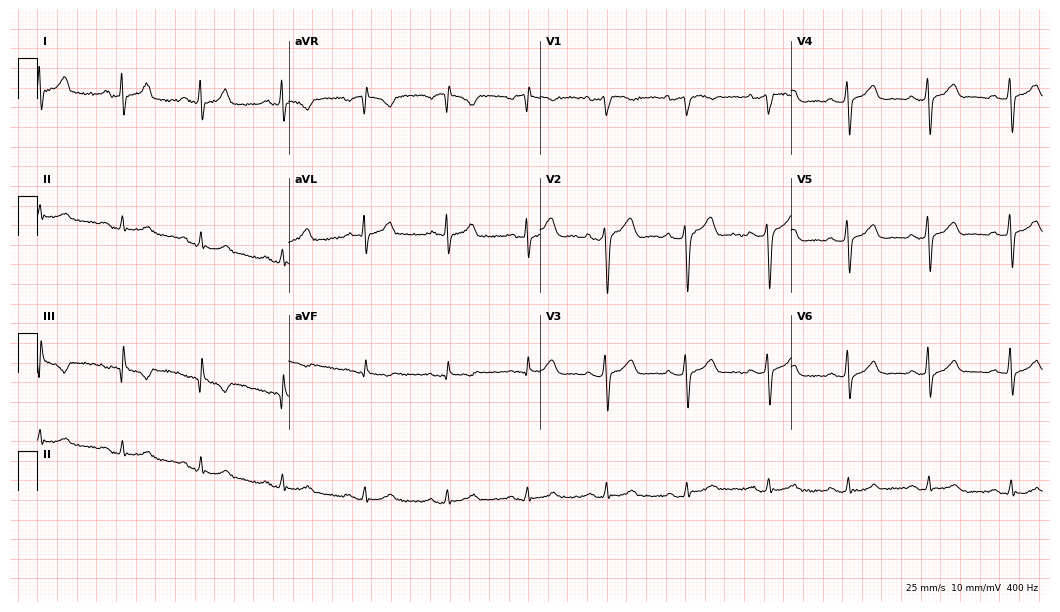
Resting 12-lead electrocardiogram (10.2-second recording at 400 Hz). Patient: a male, 48 years old. Read as a normal ECG.